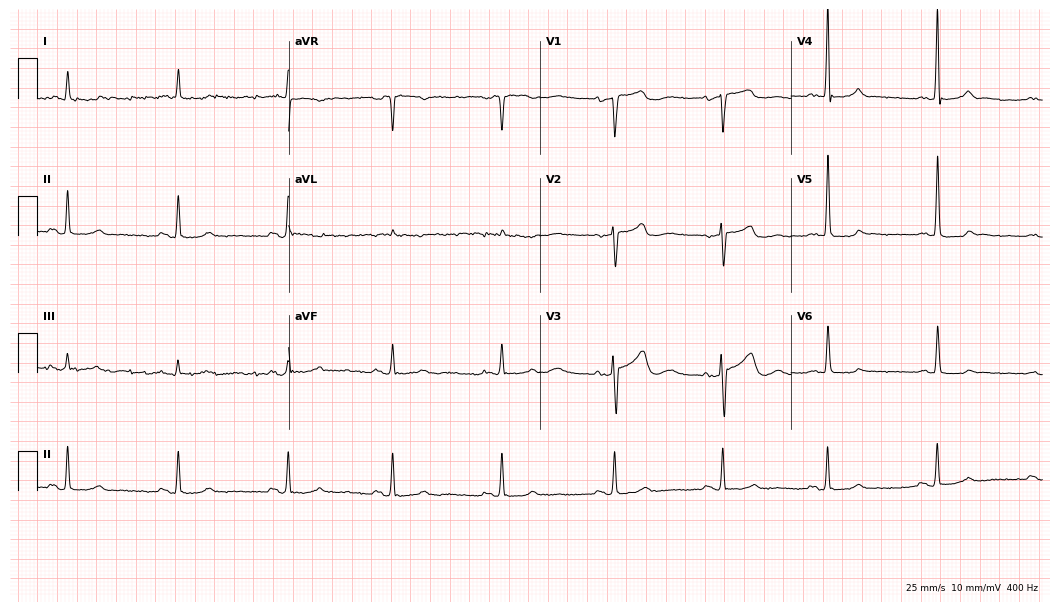
Standard 12-lead ECG recorded from a 67-year-old male patient (10.2-second recording at 400 Hz). None of these six findings is recorded: first-degree AV block, right bundle branch block (RBBB), left bundle branch block (LBBB), sinus bradycardia, atrial fibrillation (AF), sinus tachycardia. Only these six findings were labelled.